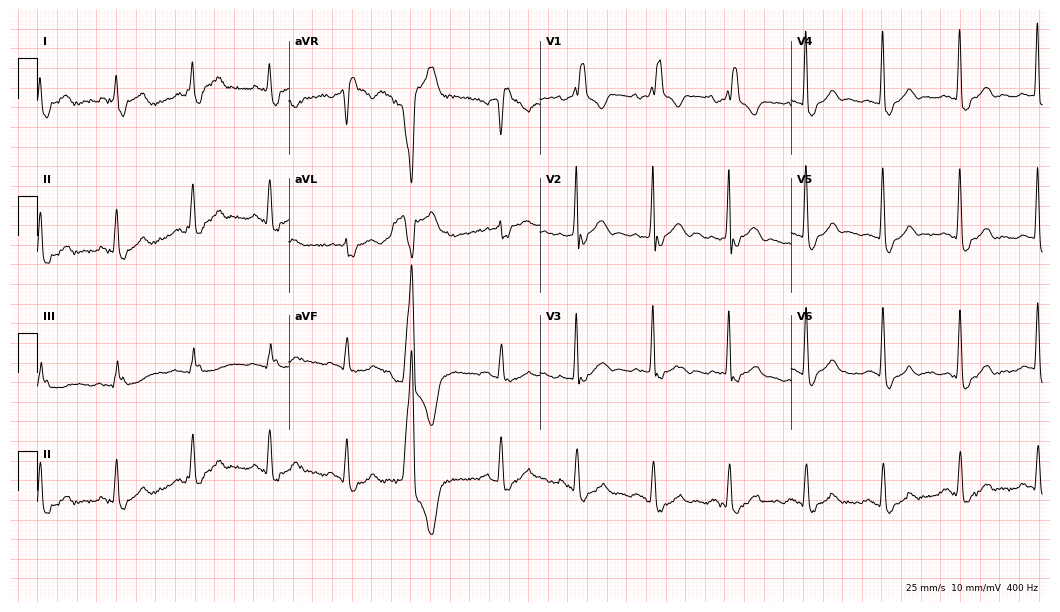
ECG — an 80-year-old male. Findings include right bundle branch block (RBBB).